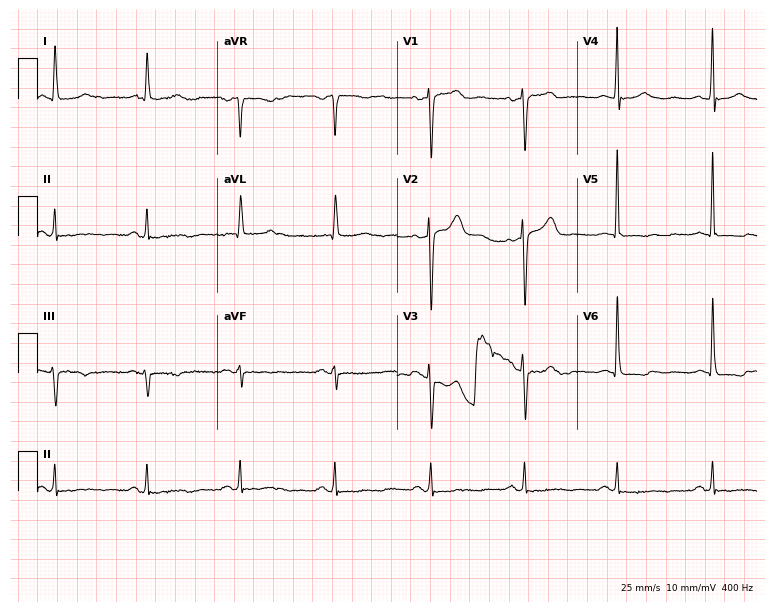
Standard 12-lead ECG recorded from a woman, 71 years old (7.3-second recording at 400 Hz). None of these six findings is recorded: first-degree AV block, right bundle branch block, left bundle branch block, sinus bradycardia, atrial fibrillation, sinus tachycardia.